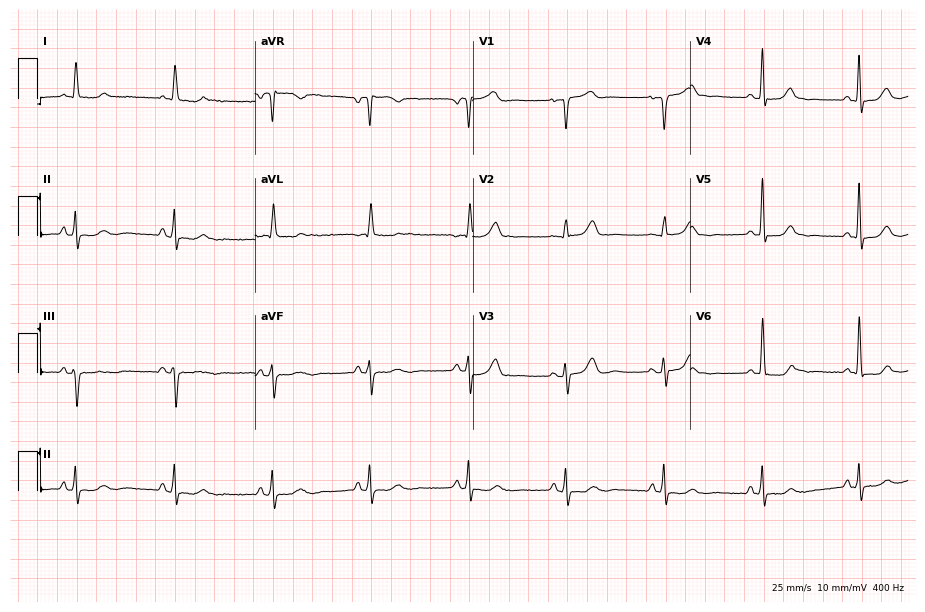
12-lead ECG from a female patient, 83 years old. Screened for six findings — first-degree AV block, right bundle branch block, left bundle branch block, sinus bradycardia, atrial fibrillation, sinus tachycardia — none is recorded. Other findings, if any, are not listed.